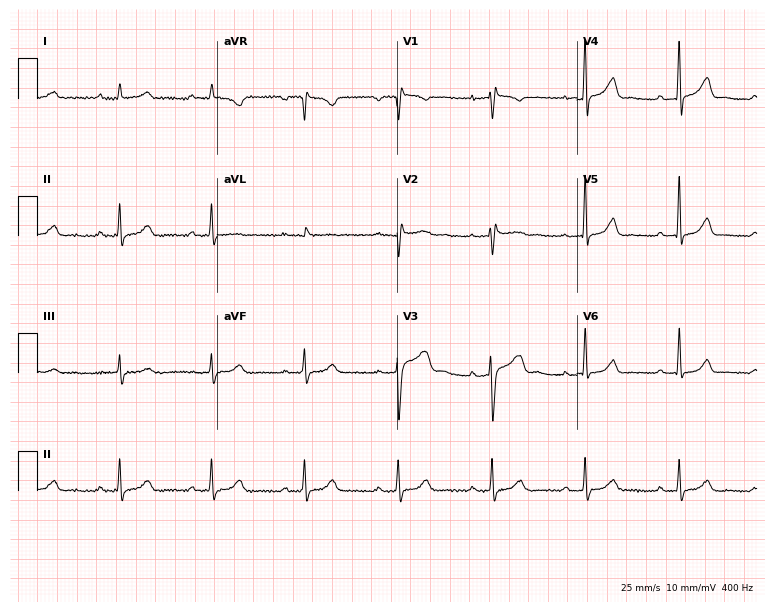
ECG (7.3-second recording at 400 Hz) — a 50-year-old female. Screened for six findings — first-degree AV block, right bundle branch block (RBBB), left bundle branch block (LBBB), sinus bradycardia, atrial fibrillation (AF), sinus tachycardia — none is recorded.